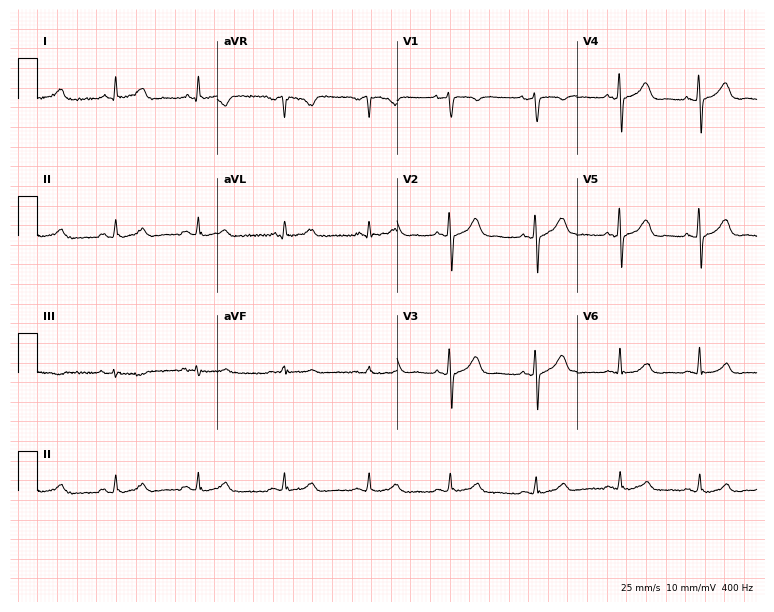
12-lead ECG from a woman, 56 years old (7.3-second recording at 400 Hz). Recorded interpretation: within normal limits.